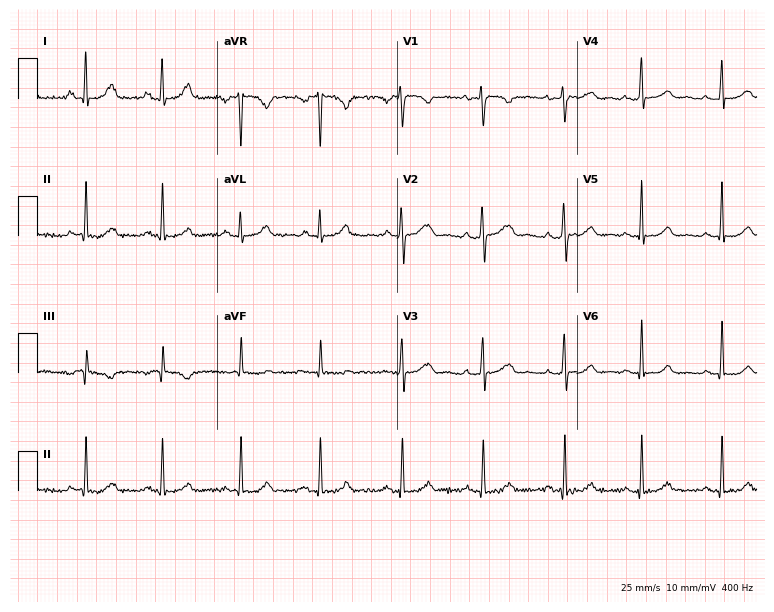
12-lead ECG from a 29-year-old female patient. Screened for six findings — first-degree AV block, right bundle branch block, left bundle branch block, sinus bradycardia, atrial fibrillation, sinus tachycardia — none is recorded.